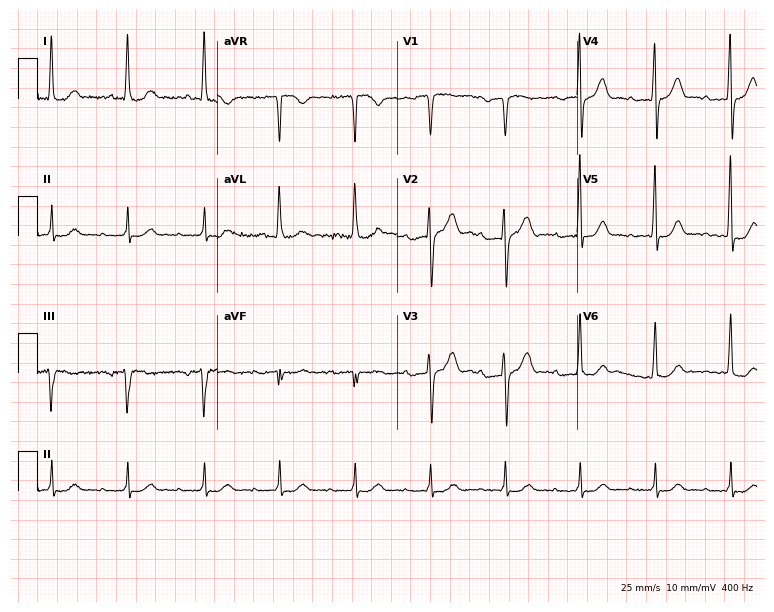
Electrocardiogram (7.3-second recording at 400 Hz), a 73-year-old man. Of the six screened findings (first-degree AV block, right bundle branch block, left bundle branch block, sinus bradycardia, atrial fibrillation, sinus tachycardia), none is recorded.